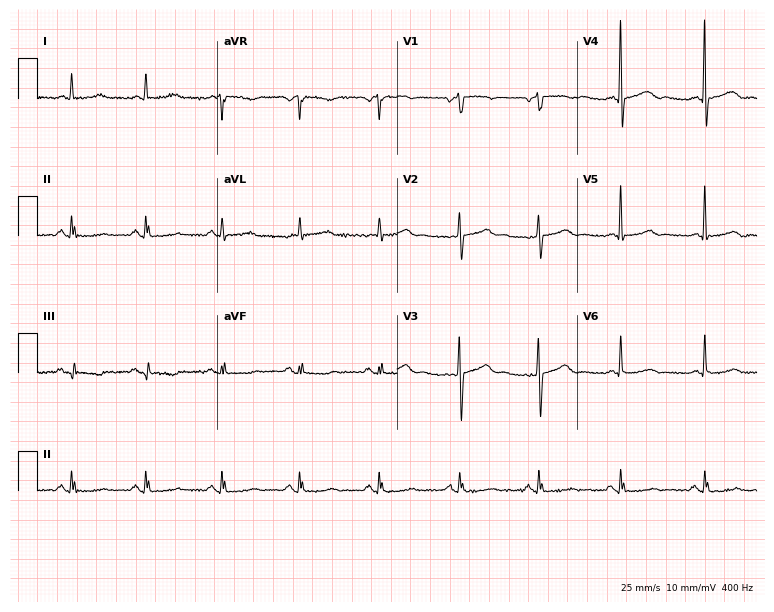
12-lead ECG from a 71-year-old woman. No first-degree AV block, right bundle branch block, left bundle branch block, sinus bradycardia, atrial fibrillation or sinus tachycardia recorded for this tracing.